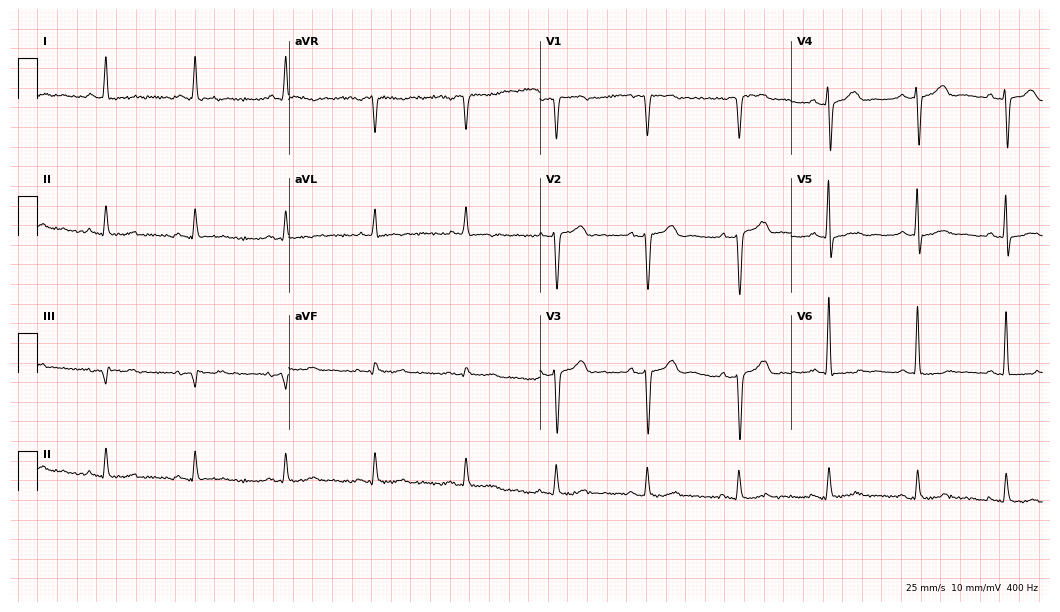
Resting 12-lead electrocardiogram. Patient: a 73-year-old male. Read as a normal ECG.